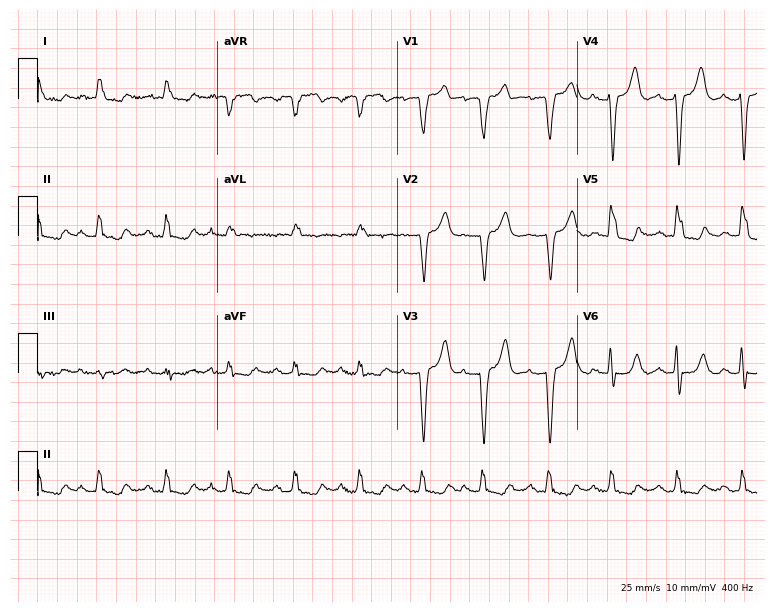
Standard 12-lead ECG recorded from a woman, 83 years old (7.3-second recording at 400 Hz). None of these six findings is recorded: first-degree AV block, right bundle branch block (RBBB), left bundle branch block (LBBB), sinus bradycardia, atrial fibrillation (AF), sinus tachycardia.